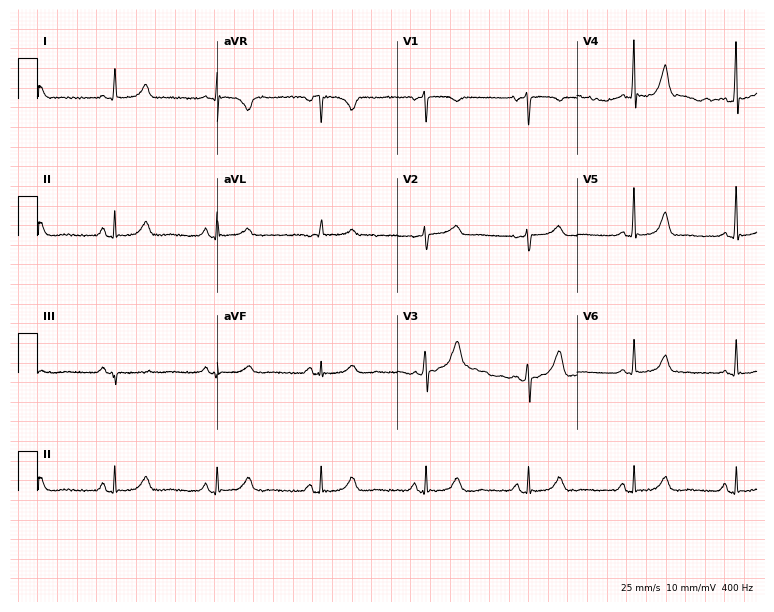
12-lead ECG (7.3-second recording at 400 Hz) from a 49-year-old woman. Screened for six findings — first-degree AV block, right bundle branch block (RBBB), left bundle branch block (LBBB), sinus bradycardia, atrial fibrillation (AF), sinus tachycardia — none is recorded.